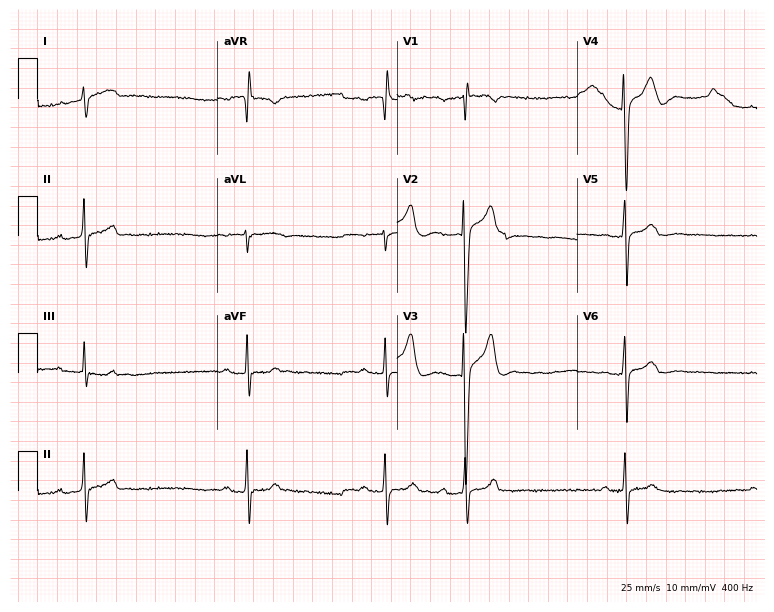
Electrocardiogram (7.3-second recording at 400 Hz), a woman, 23 years old. Interpretation includes sinus bradycardia (a sinus rate of 50 beats per minute or less).